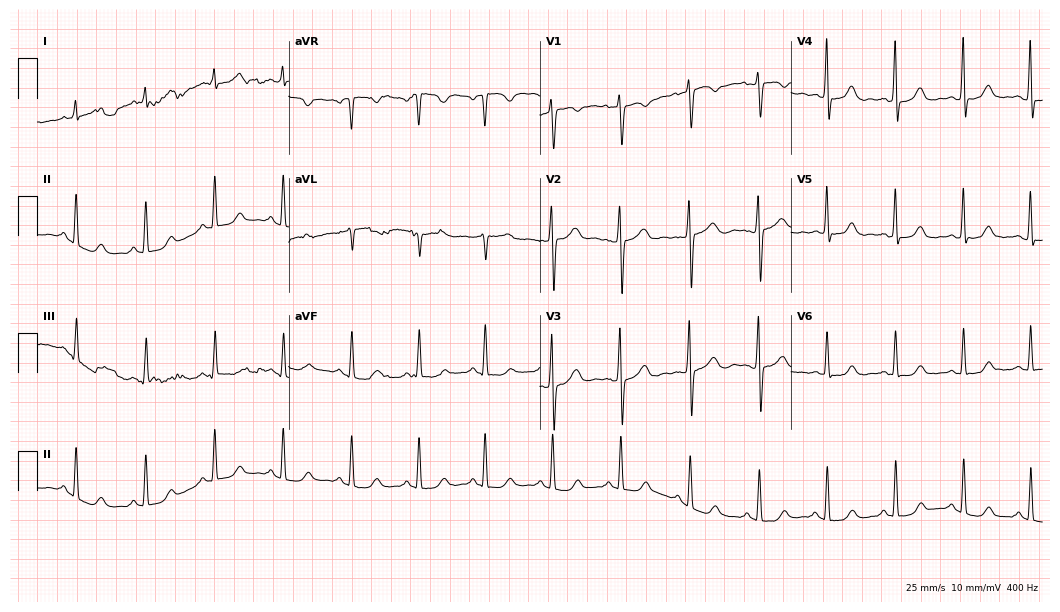
Electrocardiogram, a woman, 59 years old. Of the six screened findings (first-degree AV block, right bundle branch block (RBBB), left bundle branch block (LBBB), sinus bradycardia, atrial fibrillation (AF), sinus tachycardia), none is recorded. Other findings, if any, are not listed.